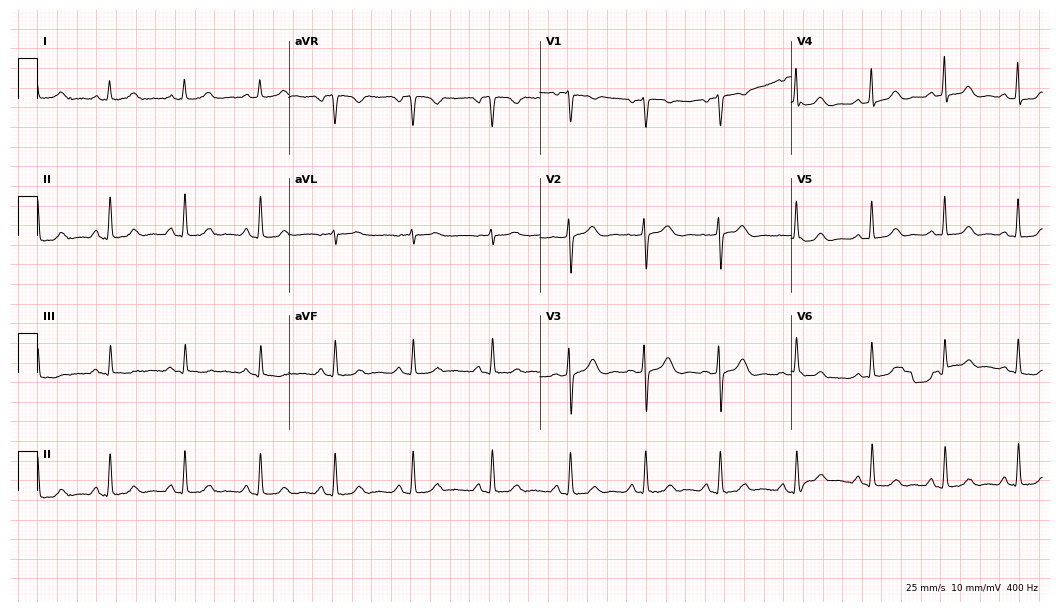
ECG (10.2-second recording at 400 Hz) — a female patient, 46 years old. Screened for six findings — first-degree AV block, right bundle branch block (RBBB), left bundle branch block (LBBB), sinus bradycardia, atrial fibrillation (AF), sinus tachycardia — none is recorded. Only these six findings were labelled.